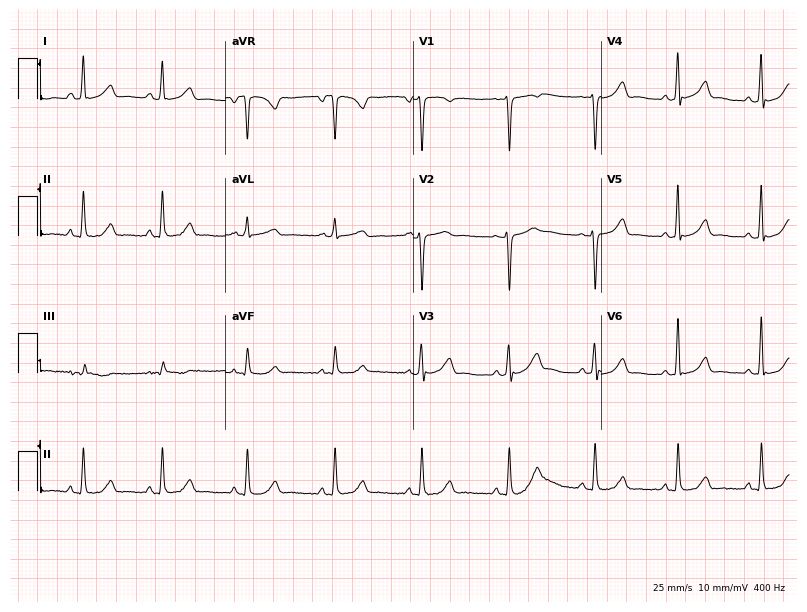
12-lead ECG from a 36-year-old woman. Recorded interpretation: within normal limits.